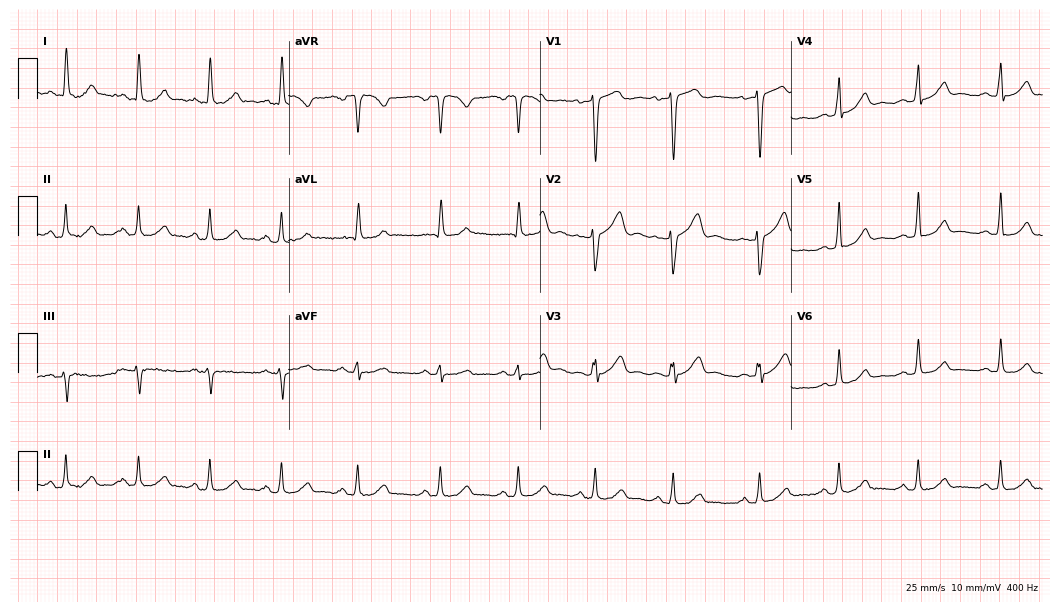
Electrocardiogram, a woman, 58 years old. Of the six screened findings (first-degree AV block, right bundle branch block, left bundle branch block, sinus bradycardia, atrial fibrillation, sinus tachycardia), none is recorded.